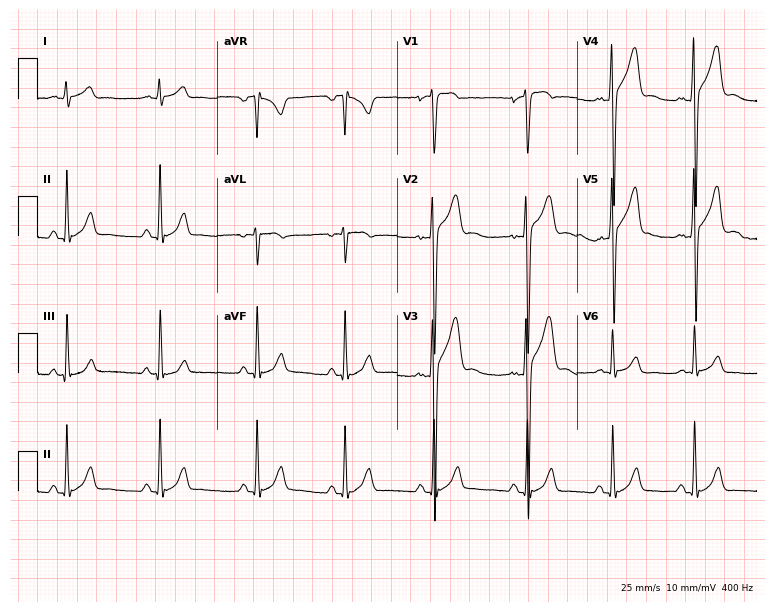
12-lead ECG from a 21-year-old male (7.3-second recording at 400 Hz). Recorded interpretation: within normal limits.